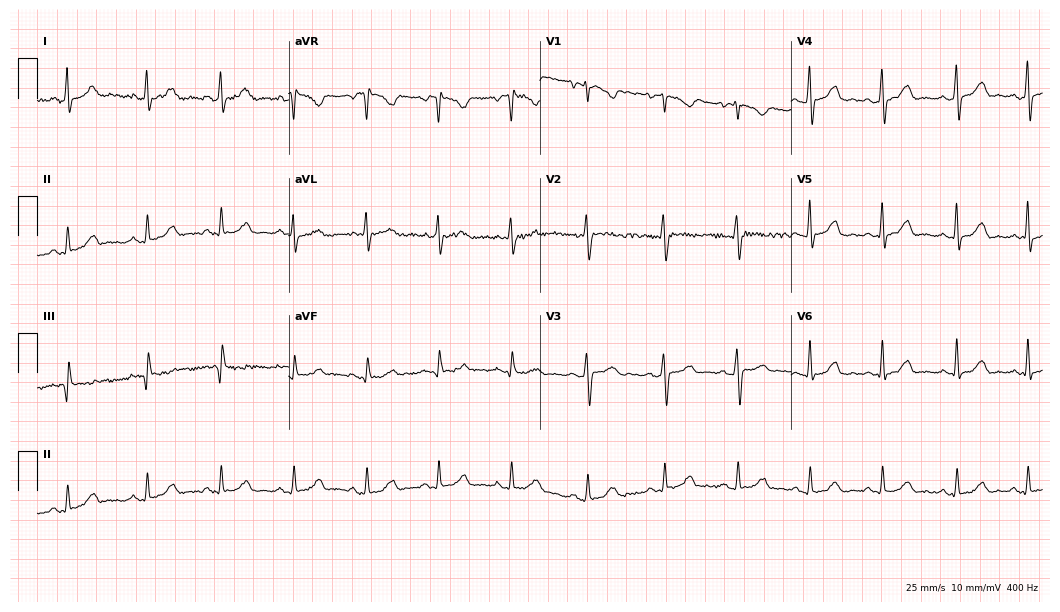
Standard 12-lead ECG recorded from a 22-year-old female patient (10.2-second recording at 400 Hz). Read as a normal ECG.